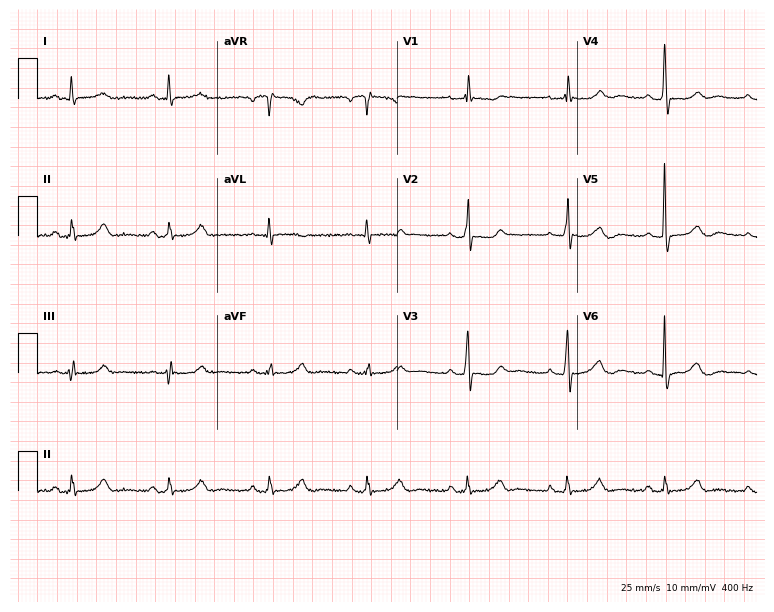
Standard 12-lead ECG recorded from a 65-year-old female (7.3-second recording at 400 Hz). Read as a normal ECG.